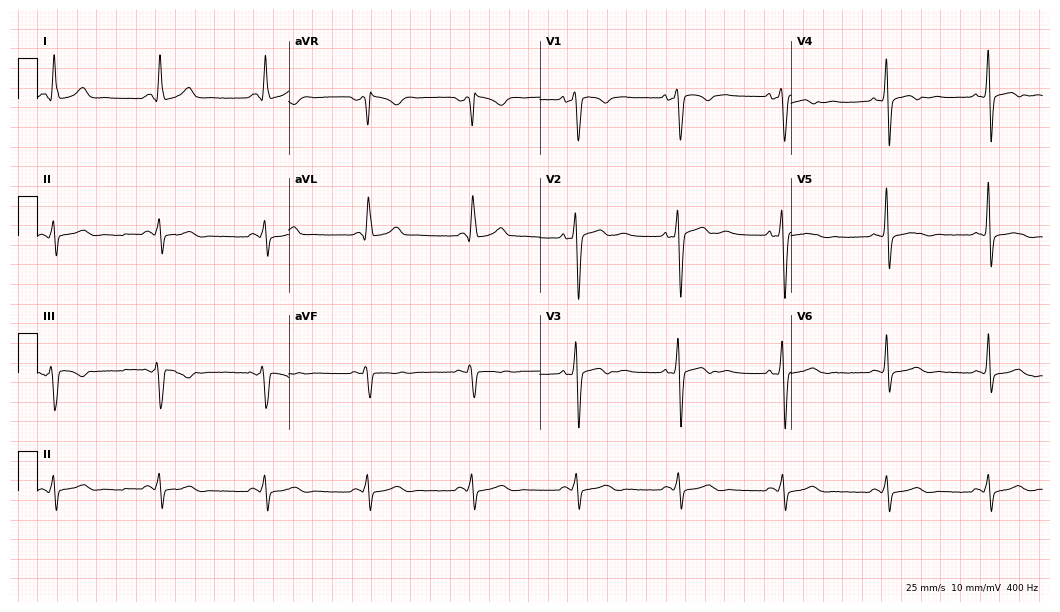
Standard 12-lead ECG recorded from a man, 45 years old (10.2-second recording at 400 Hz). None of these six findings is recorded: first-degree AV block, right bundle branch block, left bundle branch block, sinus bradycardia, atrial fibrillation, sinus tachycardia. Only these six findings were labelled.